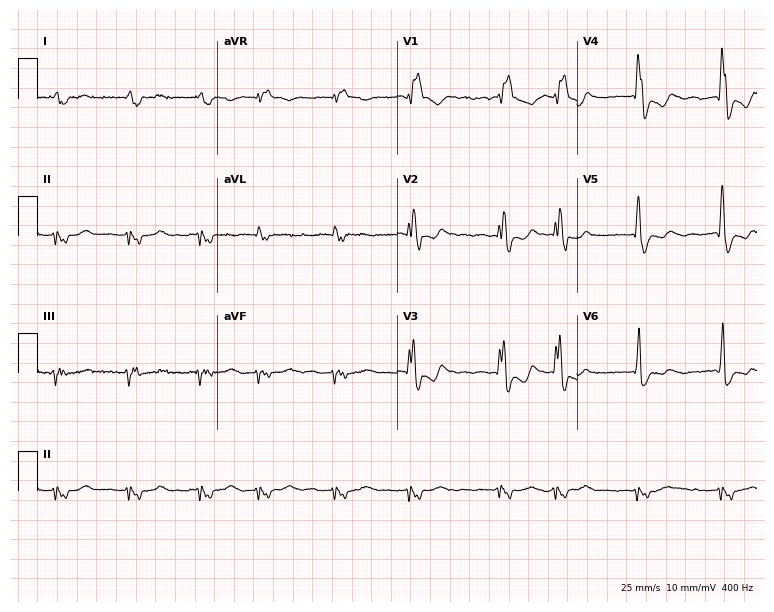
Resting 12-lead electrocardiogram. Patient: a 63-year-old man. The tracing shows right bundle branch block, atrial fibrillation.